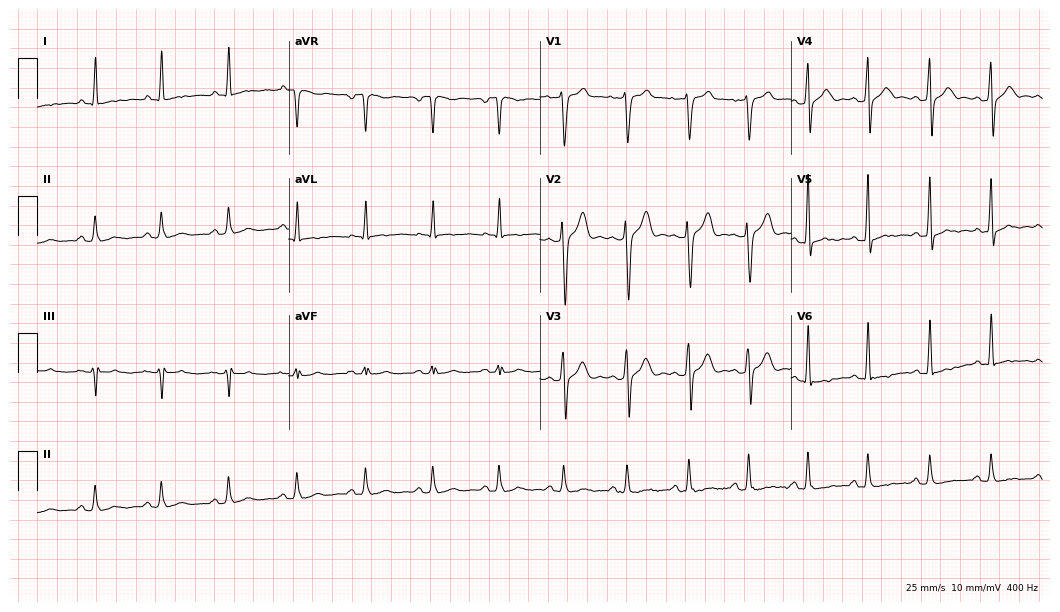
ECG (10.2-second recording at 400 Hz) — a 39-year-old man. Screened for six findings — first-degree AV block, right bundle branch block (RBBB), left bundle branch block (LBBB), sinus bradycardia, atrial fibrillation (AF), sinus tachycardia — none is recorded.